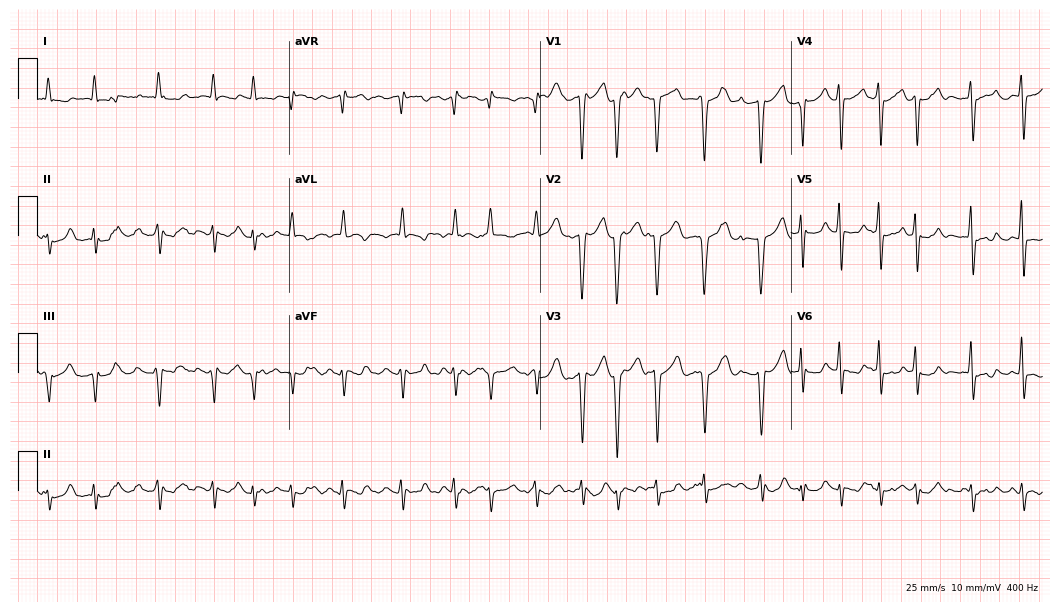
ECG (10.2-second recording at 400 Hz) — a female, 64 years old. Findings include atrial fibrillation (AF).